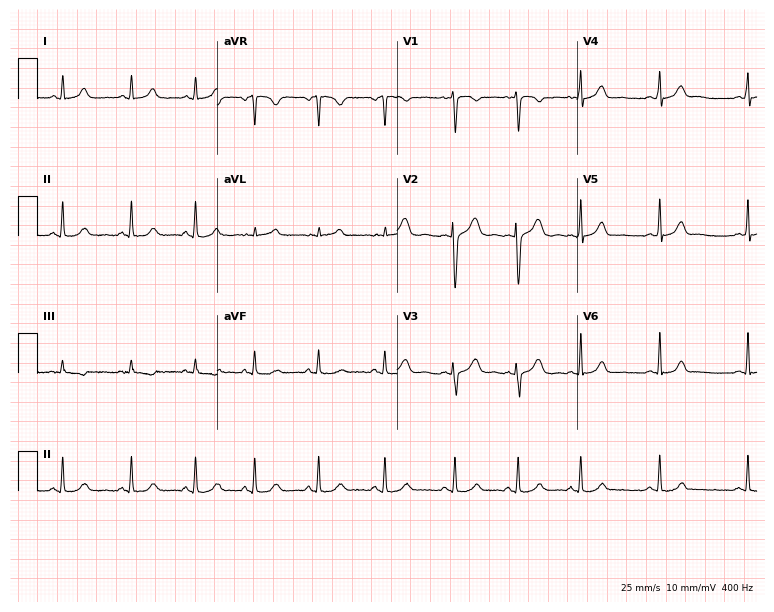
Standard 12-lead ECG recorded from a female patient, 17 years old (7.3-second recording at 400 Hz). Read as a normal ECG.